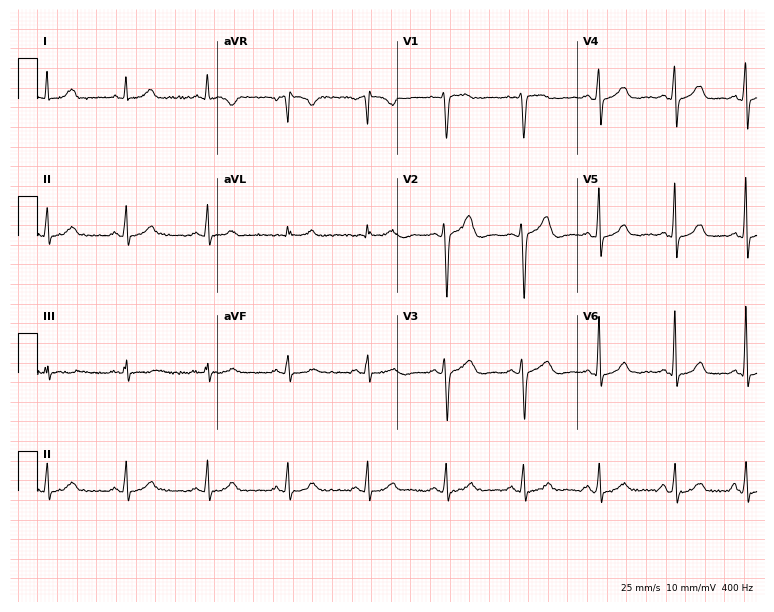
Standard 12-lead ECG recorded from a woman, 46 years old. Read as a normal ECG.